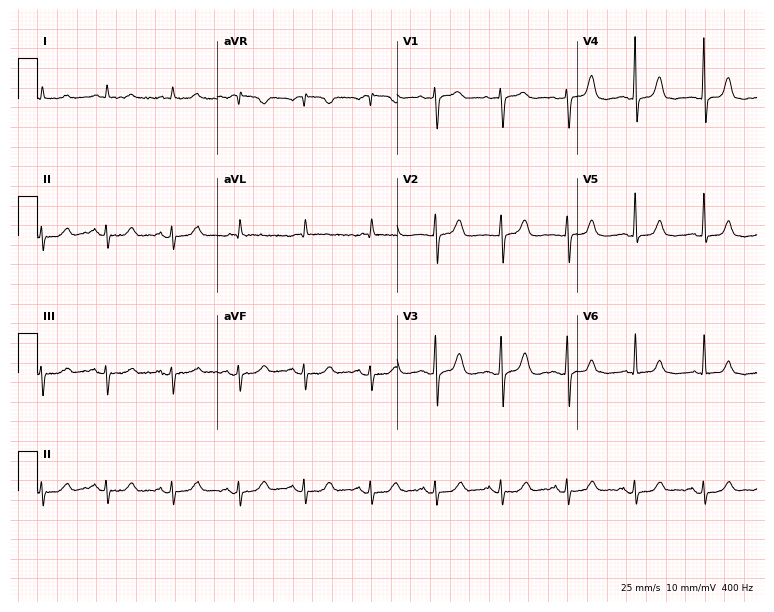
Resting 12-lead electrocardiogram (7.3-second recording at 400 Hz). Patient: a woman, 80 years old. None of these six findings is recorded: first-degree AV block, right bundle branch block, left bundle branch block, sinus bradycardia, atrial fibrillation, sinus tachycardia.